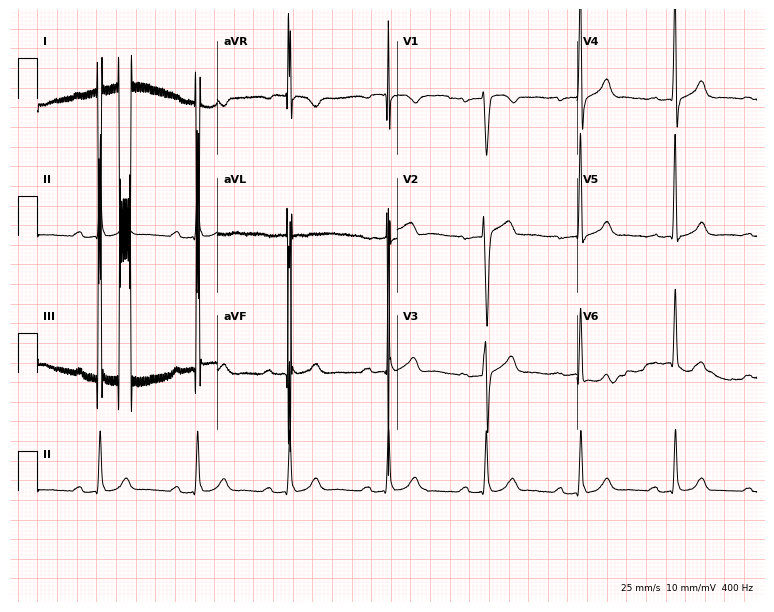
Electrocardiogram (7.3-second recording at 400 Hz), a man, 75 years old. Interpretation includes first-degree AV block.